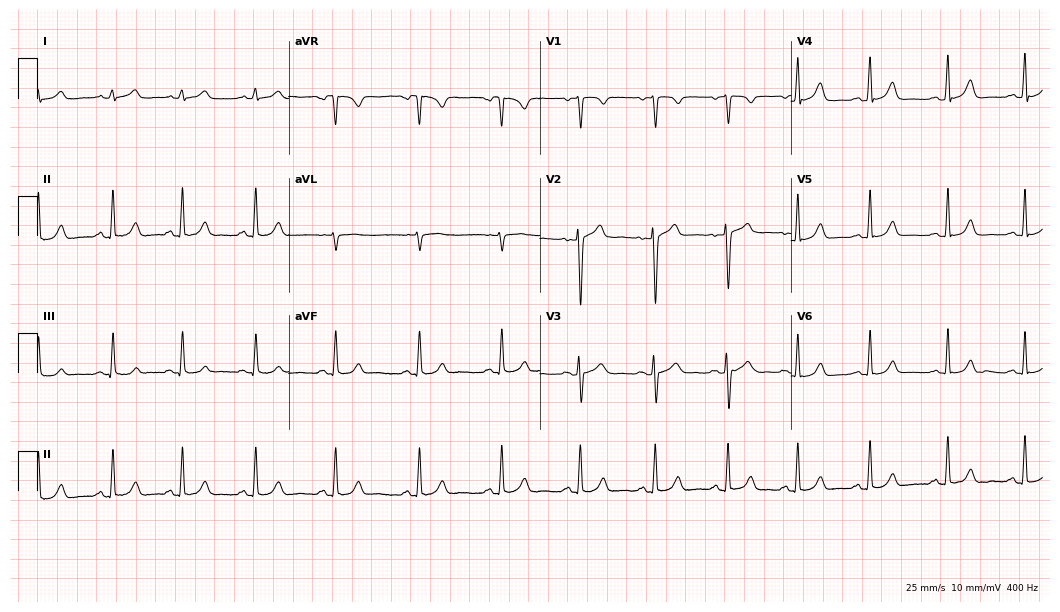
12-lead ECG from a 25-year-old woman. No first-degree AV block, right bundle branch block, left bundle branch block, sinus bradycardia, atrial fibrillation or sinus tachycardia recorded for this tracing. Other findings, if any, are not listed.